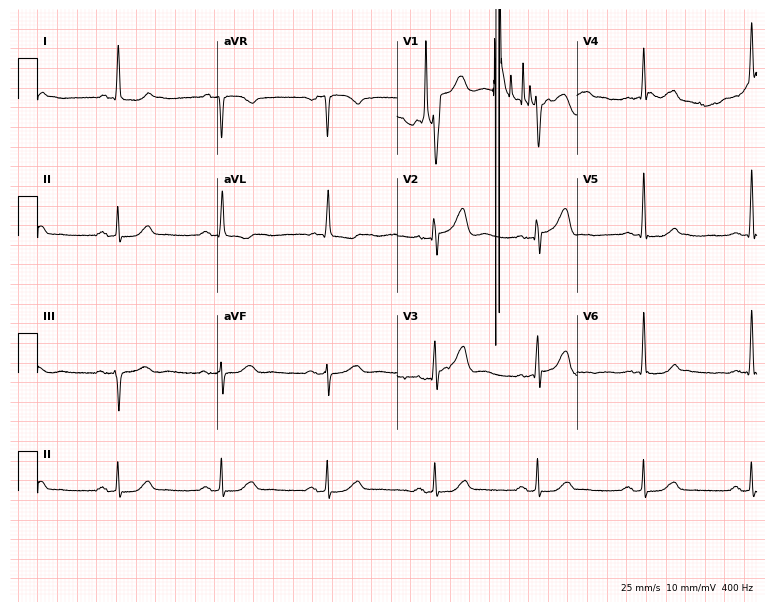
12-lead ECG from a woman, 73 years old. No first-degree AV block, right bundle branch block (RBBB), left bundle branch block (LBBB), sinus bradycardia, atrial fibrillation (AF) or sinus tachycardia recorded for this tracing. Only these six findings were labelled.